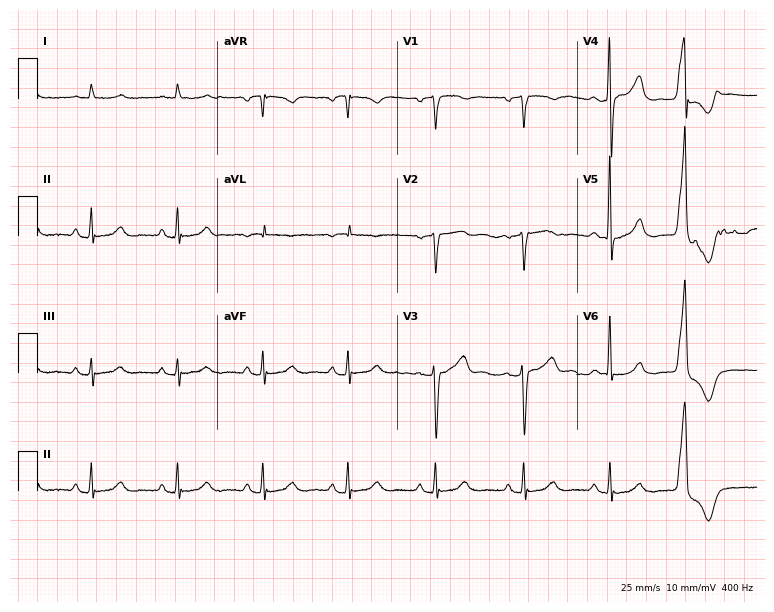
ECG — a 77-year-old male. Labelled as a normal ECG.